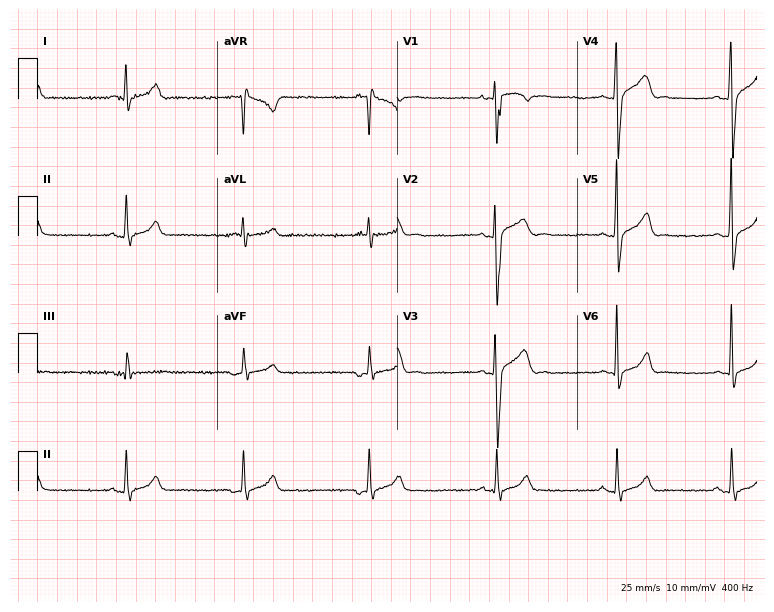
Resting 12-lead electrocardiogram. Patient: a man, 23 years old. The tracing shows sinus bradycardia (a sinus rate of 50 beats per minute or less).